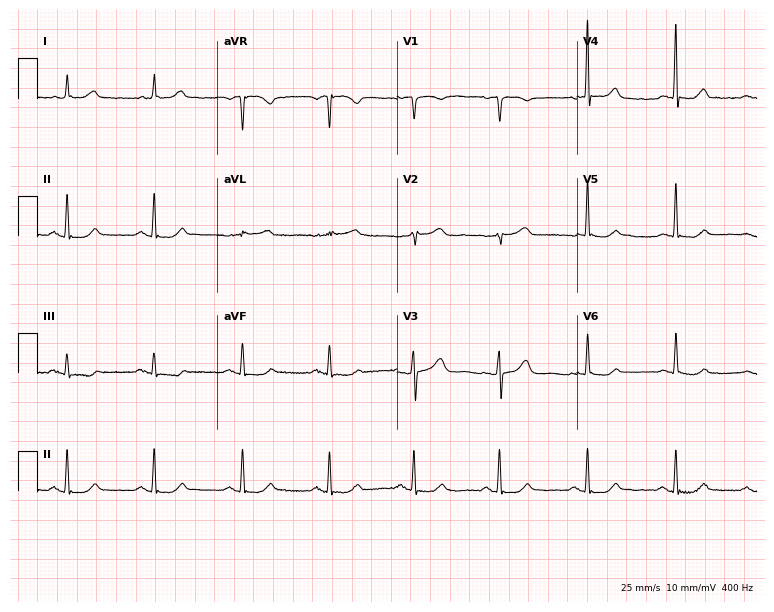
ECG (7.3-second recording at 400 Hz) — a female, 77 years old. Labelled as a normal ECG.